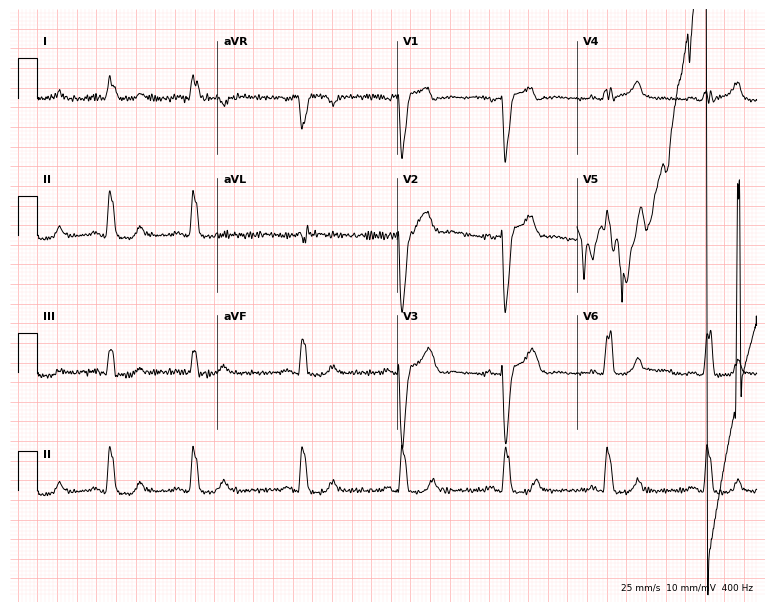
ECG — a 76-year-old female. Screened for six findings — first-degree AV block, right bundle branch block (RBBB), left bundle branch block (LBBB), sinus bradycardia, atrial fibrillation (AF), sinus tachycardia — none is recorded.